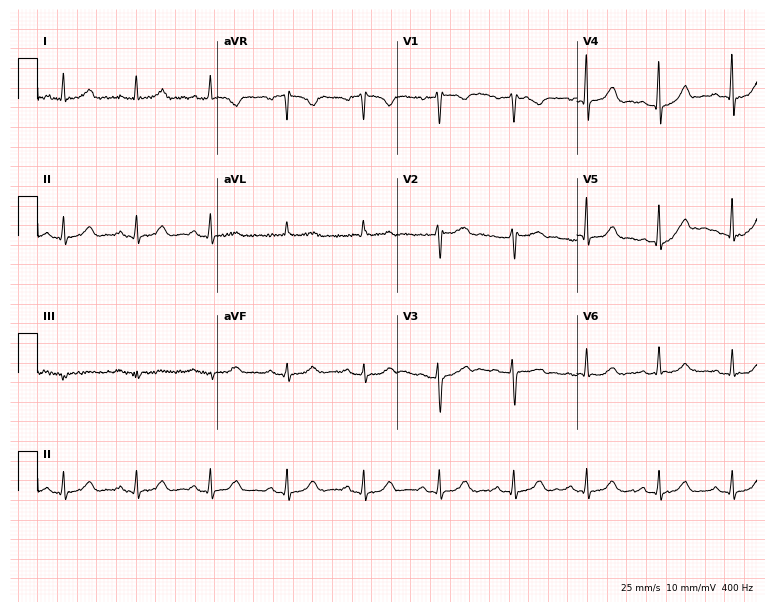
12-lead ECG from a woman, 44 years old. Recorded interpretation: within normal limits.